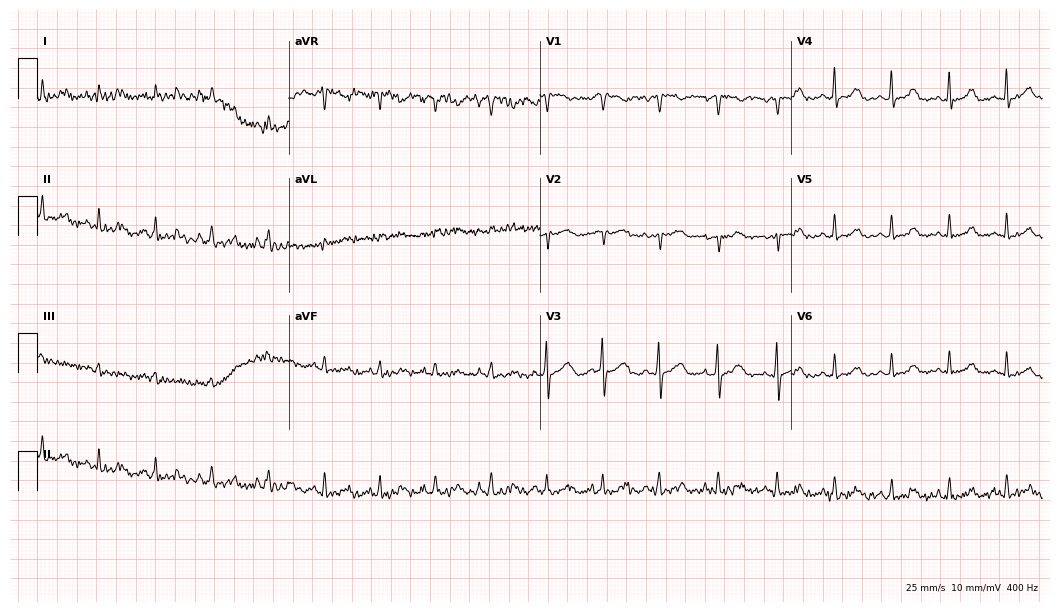
Electrocardiogram, a 36-year-old female. Of the six screened findings (first-degree AV block, right bundle branch block, left bundle branch block, sinus bradycardia, atrial fibrillation, sinus tachycardia), none is recorded.